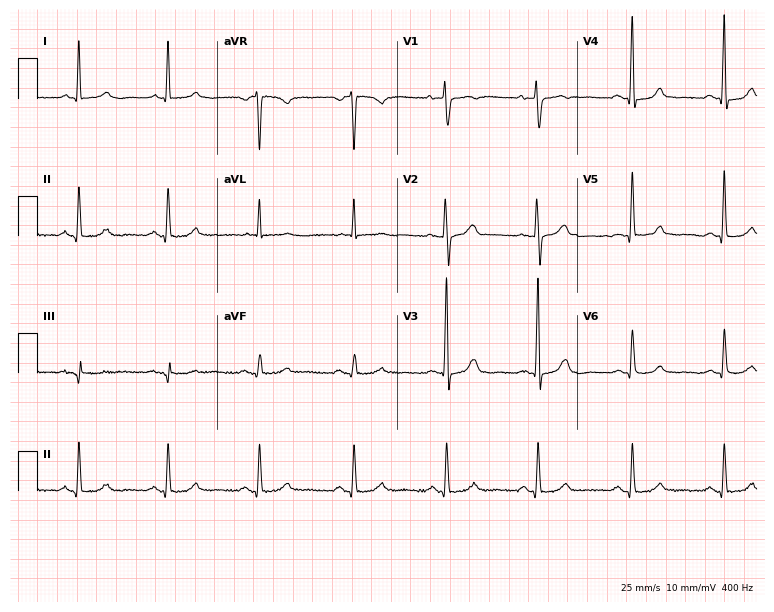
Resting 12-lead electrocardiogram (7.3-second recording at 400 Hz). Patient: a 54-year-old female. Read as a normal ECG.